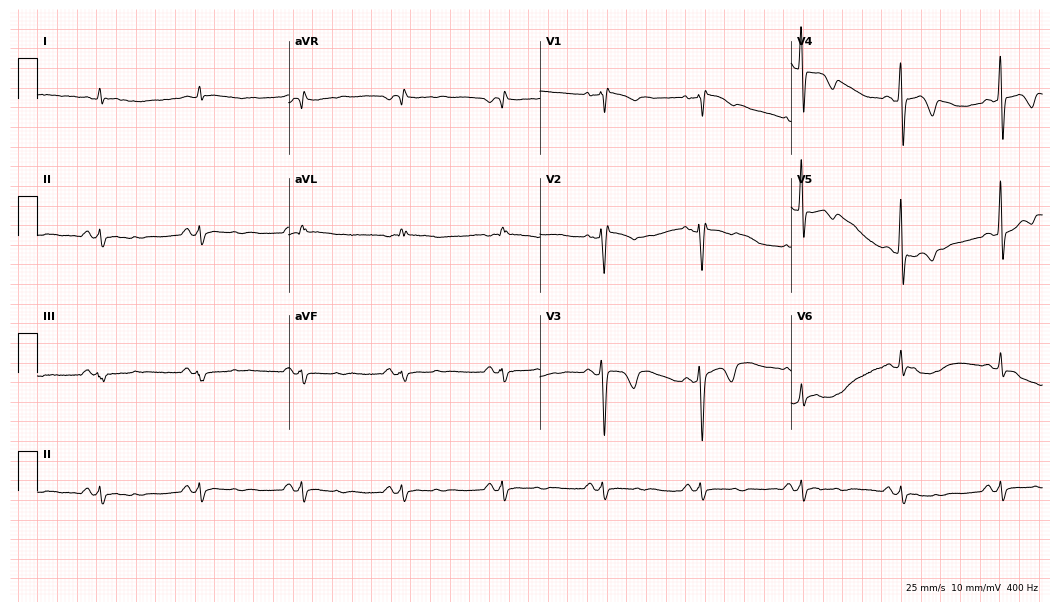
12-lead ECG (10.2-second recording at 400 Hz) from a female patient, 80 years old. Screened for six findings — first-degree AV block, right bundle branch block (RBBB), left bundle branch block (LBBB), sinus bradycardia, atrial fibrillation (AF), sinus tachycardia — none is recorded.